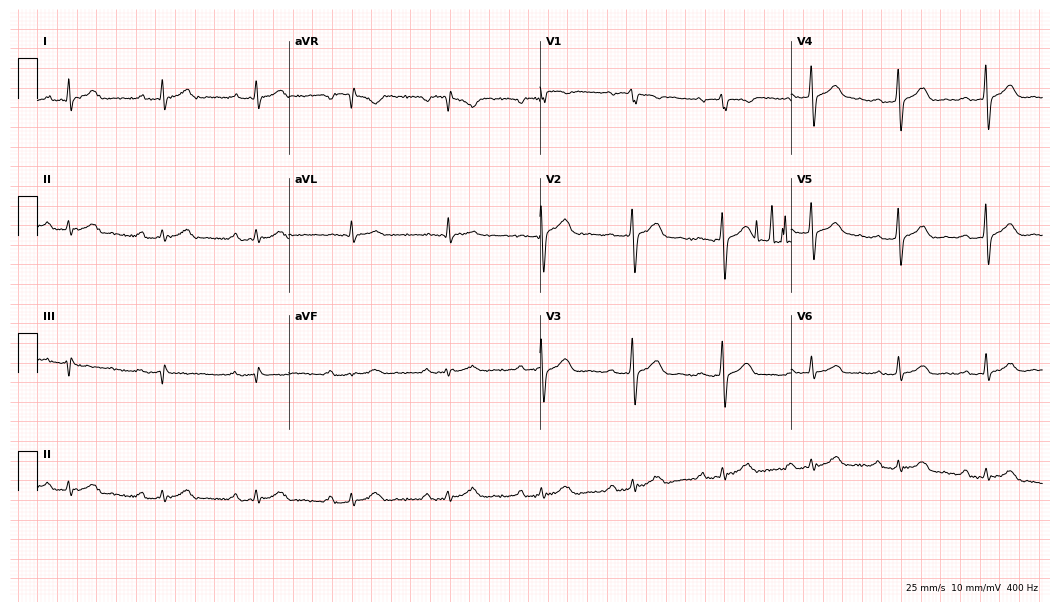
Resting 12-lead electrocardiogram (10.2-second recording at 400 Hz). Patient: a 53-year-old male. The tracing shows first-degree AV block.